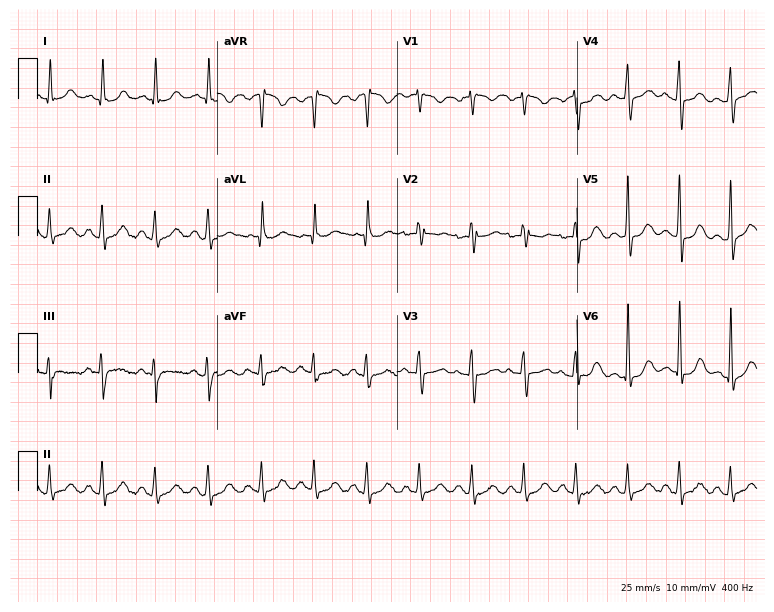
Resting 12-lead electrocardiogram (7.3-second recording at 400 Hz). Patient: a 47-year-old female. The tracing shows sinus tachycardia (a sinus rate of 100 beats per minute or more).